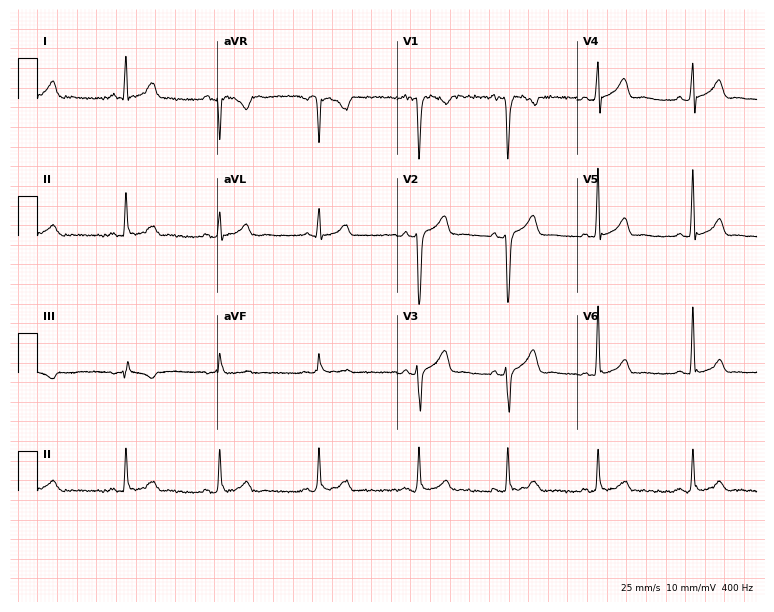
12-lead ECG from a man, 39 years old (7.3-second recording at 400 Hz). Recorded interpretation: within normal limits.